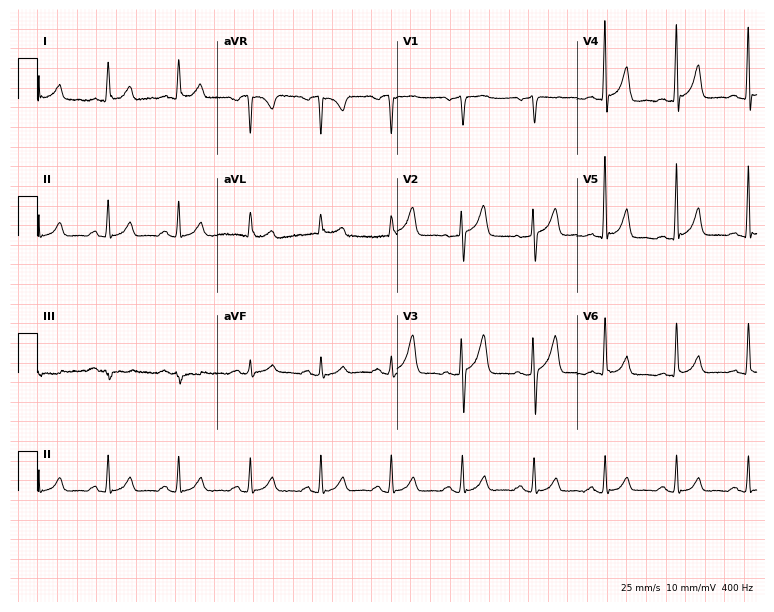
Electrocardiogram, a 66-year-old male. Overall reading on record: normal ECG.